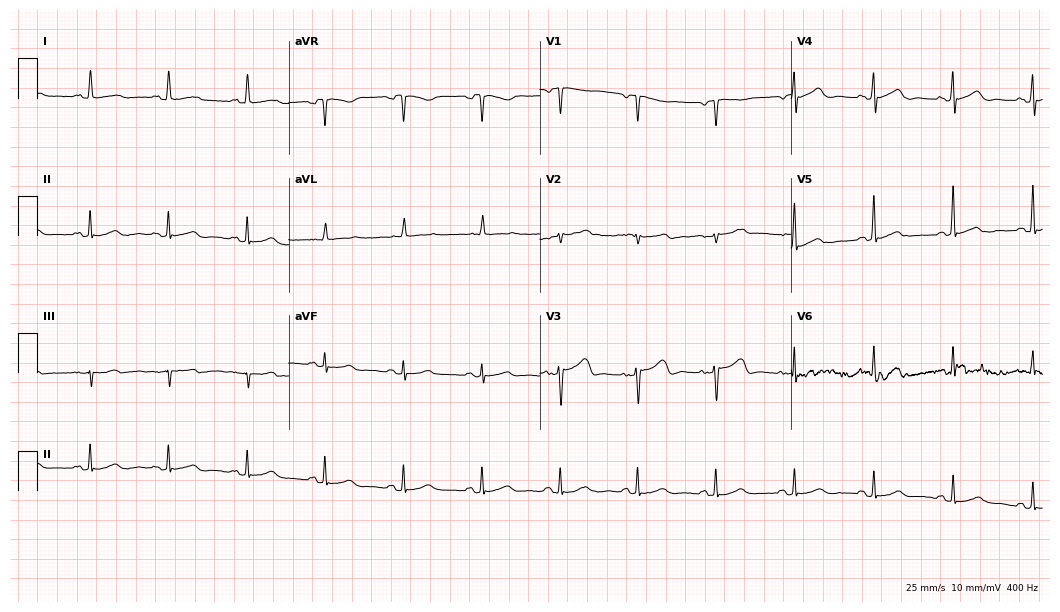
Standard 12-lead ECG recorded from a female patient, 72 years old. Read as a normal ECG.